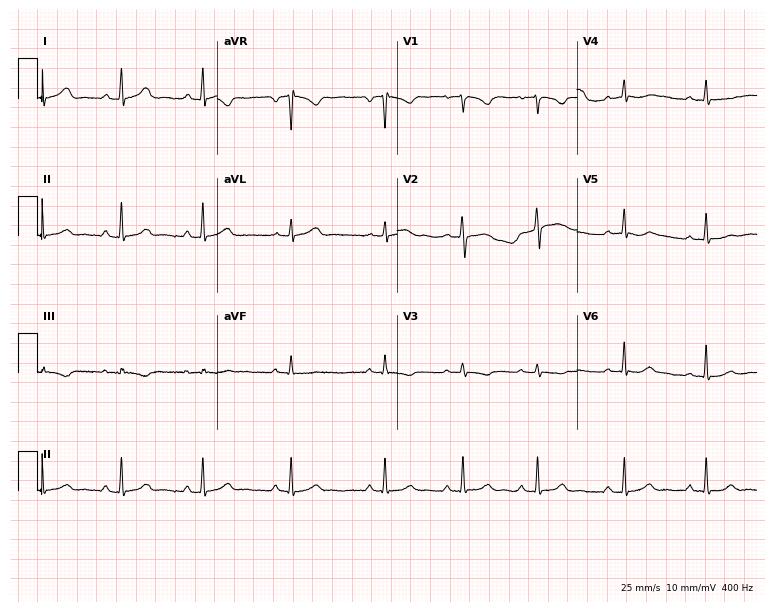
Resting 12-lead electrocardiogram (7.3-second recording at 400 Hz). Patient: a 24-year-old female. Read as a normal ECG.